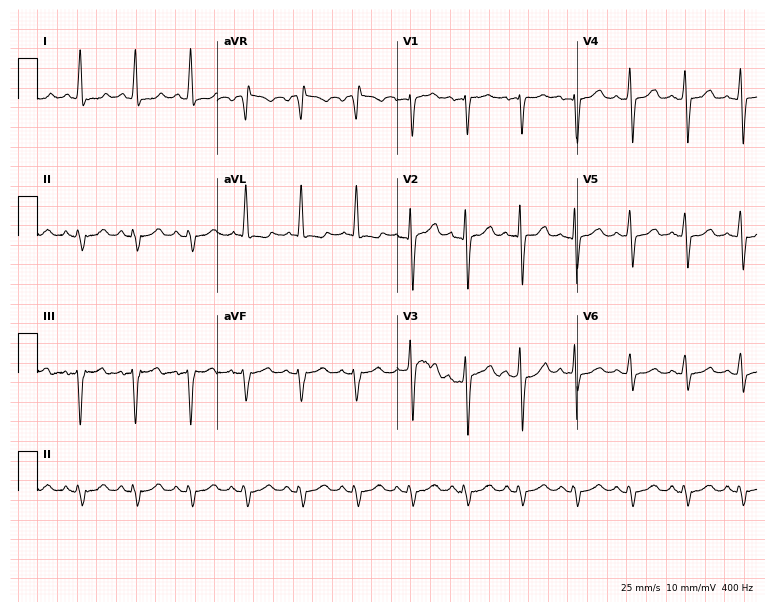
Standard 12-lead ECG recorded from an 82-year-old man (7.3-second recording at 400 Hz). The tracing shows sinus tachycardia (a sinus rate of 100 beats per minute or more).